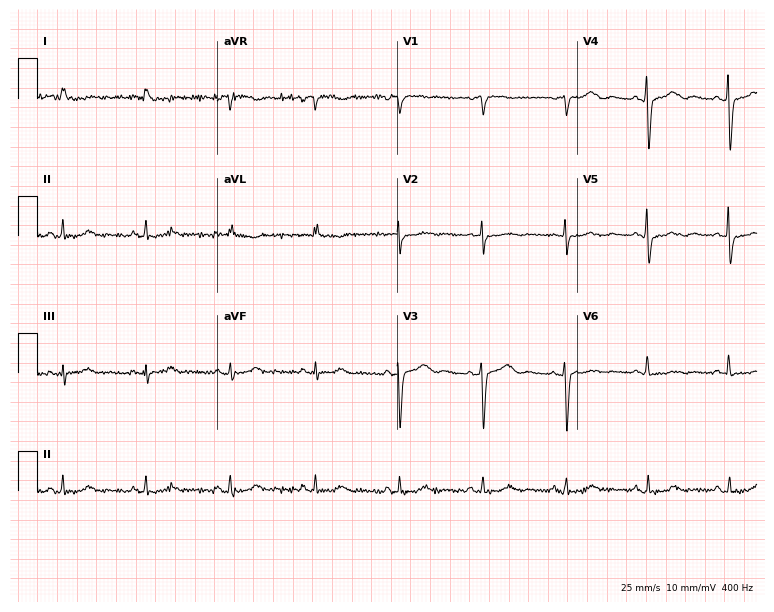
12-lead ECG from a 64-year-old female. Labelled as a normal ECG.